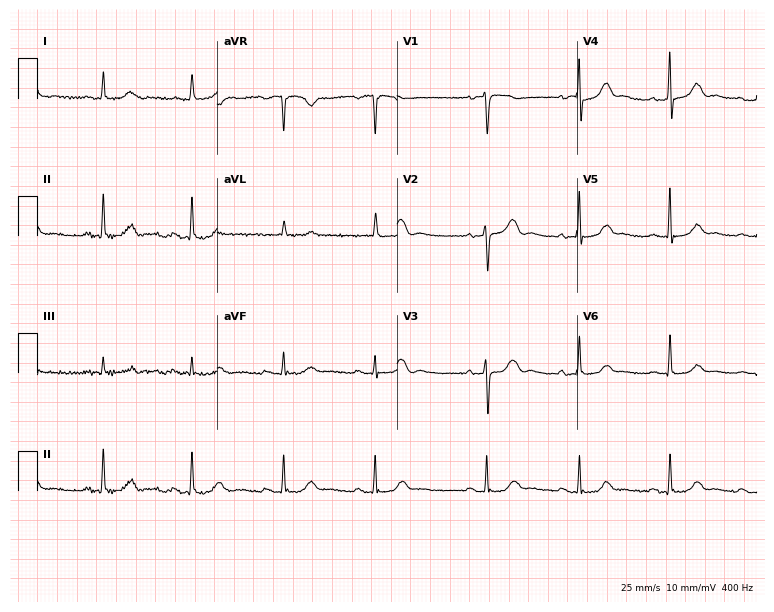
Resting 12-lead electrocardiogram. Patient: a woman, 74 years old. None of these six findings is recorded: first-degree AV block, right bundle branch block, left bundle branch block, sinus bradycardia, atrial fibrillation, sinus tachycardia.